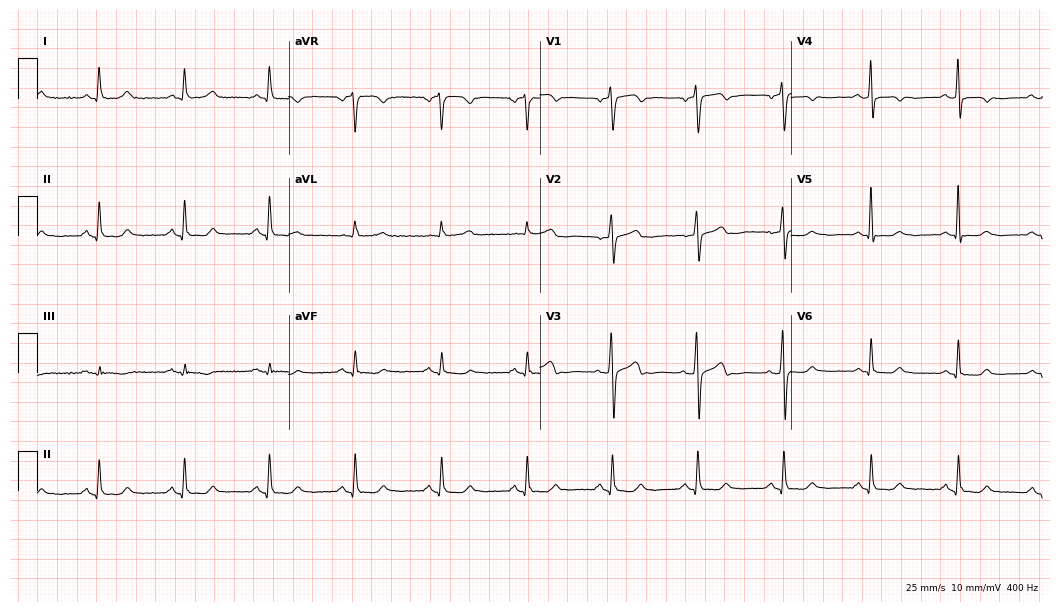
Resting 12-lead electrocardiogram. Patient: a 70-year-old female. Read as a normal ECG.